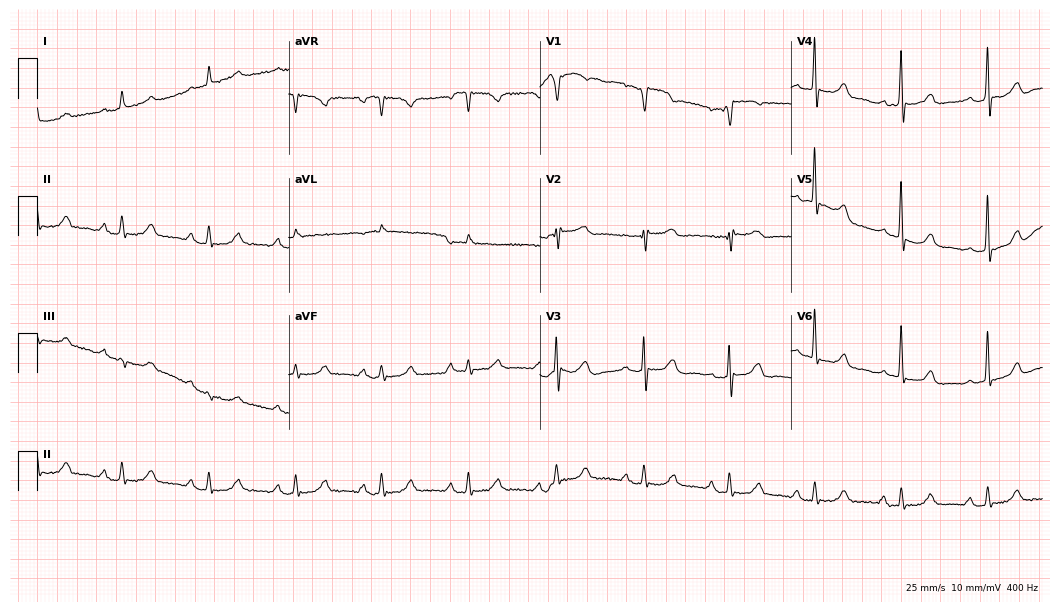
12-lead ECG from a male, 82 years old. Labelled as a normal ECG.